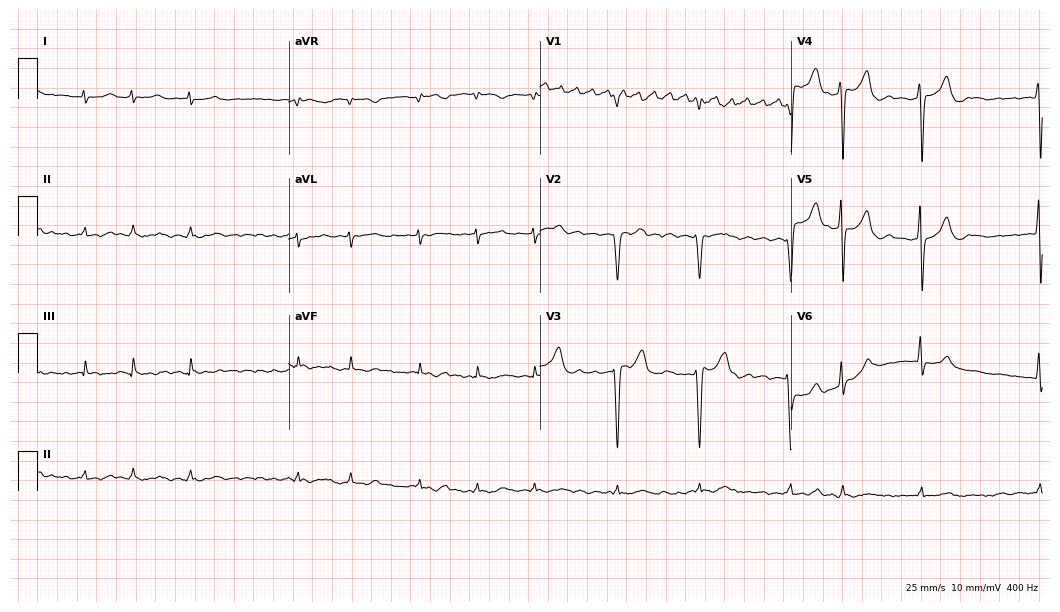
Resting 12-lead electrocardiogram (10.2-second recording at 400 Hz). Patient: a 79-year-old man. The tracing shows atrial fibrillation (AF).